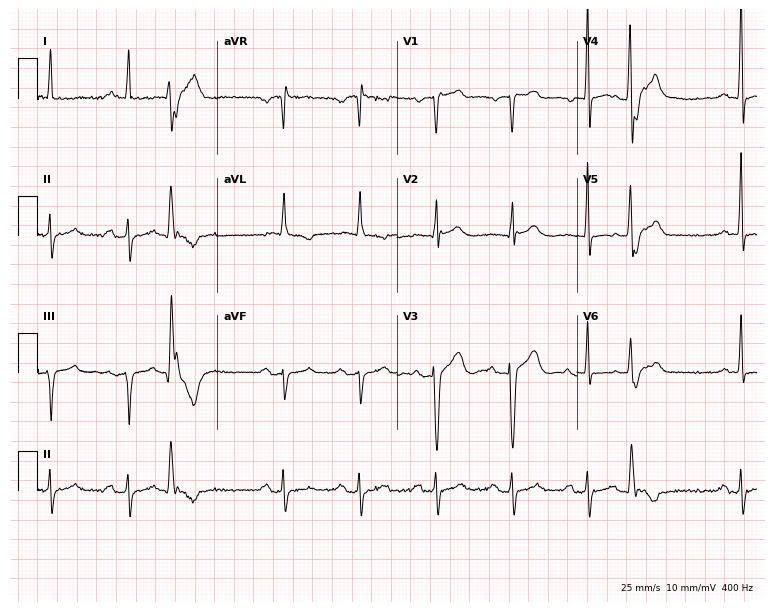
12-lead ECG (7.3-second recording at 400 Hz) from a male patient, 70 years old. Screened for six findings — first-degree AV block, right bundle branch block, left bundle branch block, sinus bradycardia, atrial fibrillation, sinus tachycardia — none is recorded.